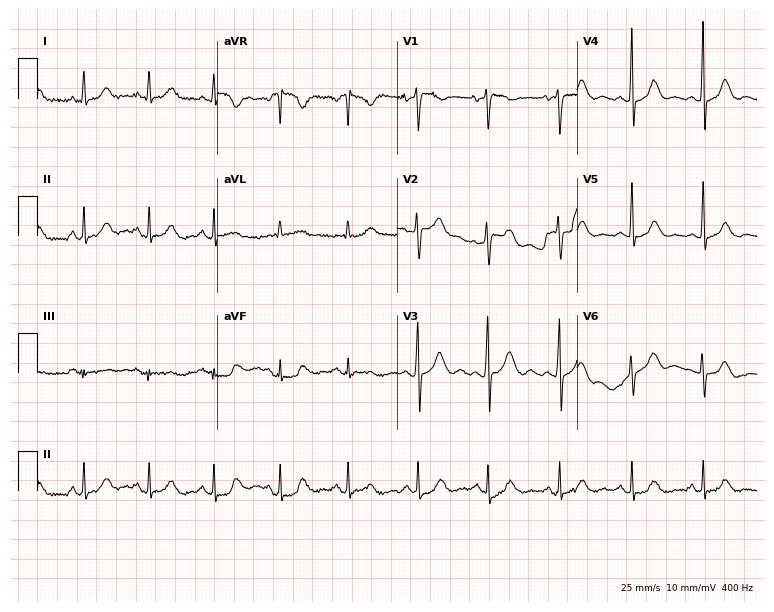
ECG (7.3-second recording at 400 Hz) — a female patient, 52 years old. Labelled as a normal ECG.